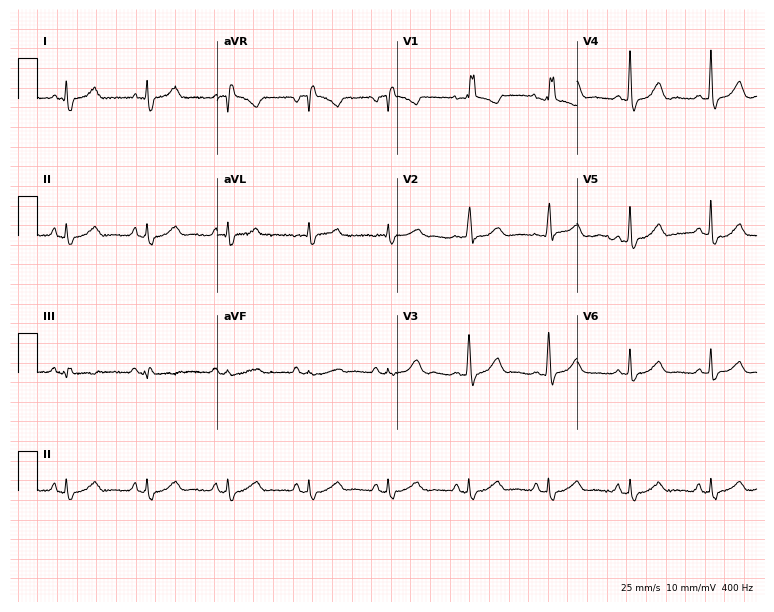
12-lead ECG (7.3-second recording at 400 Hz) from a 61-year-old female patient. Findings include right bundle branch block.